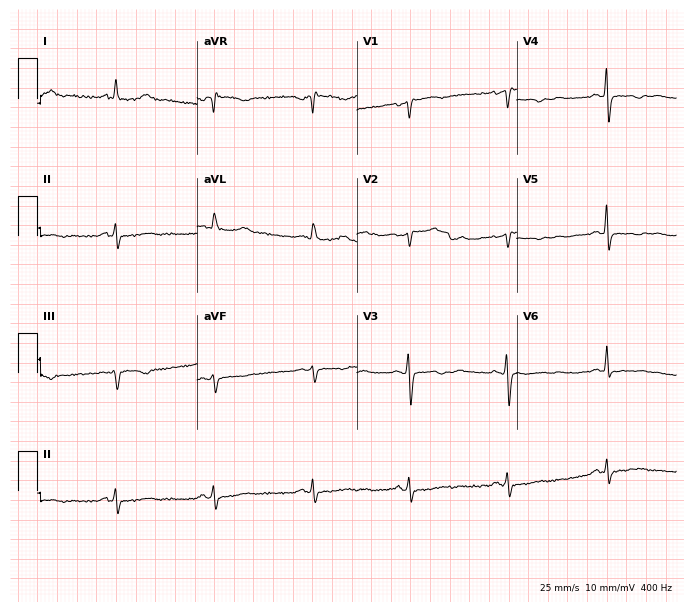
ECG — a 63-year-old woman. Screened for six findings — first-degree AV block, right bundle branch block, left bundle branch block, sinus bradycardia, atrial fibrillation, sinus tachycardia — none is recorded.